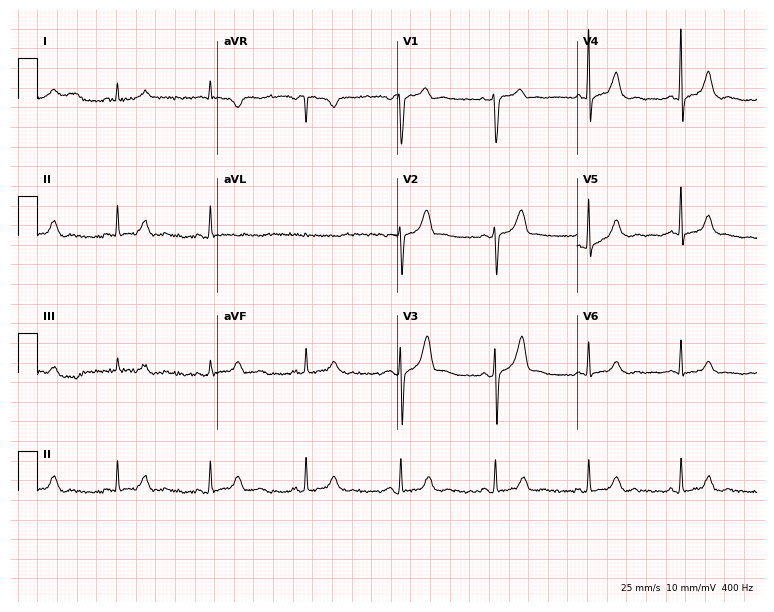
12-lead ECG from a male, 54 years old. Screened for six findings — first-degree AV block, right bundle branch block, left bundle branch block, sinus bradycardia, atrial fibrillation, sinus tachycardia — none is recorded. Findings outside these six are not listed.